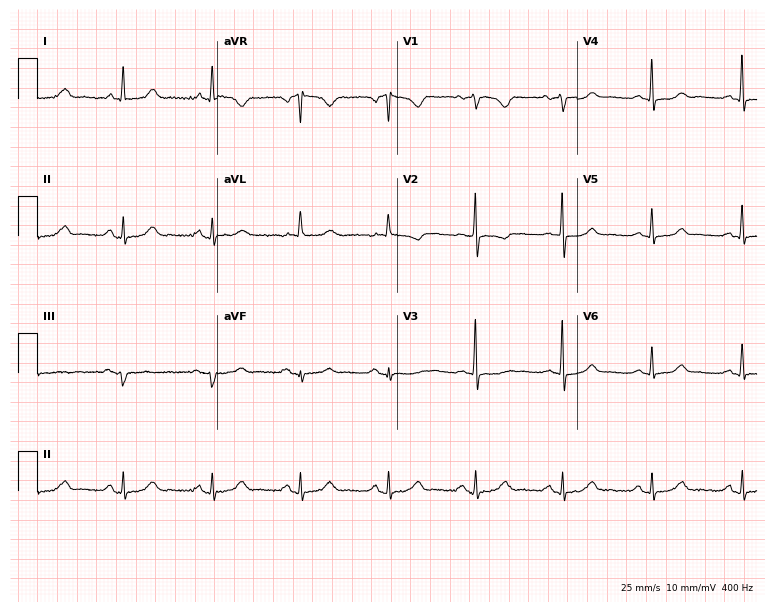
12-lead ECG from a woman, 58 years old (7.3-second recording at 400 Hz). No first-degree AV block, right bundle branch block, left bundle branch block, sinus bradycardia, atrial fibrillation or sinus tachycardia recorded for this tracing. Other findings, if any, are not listed.